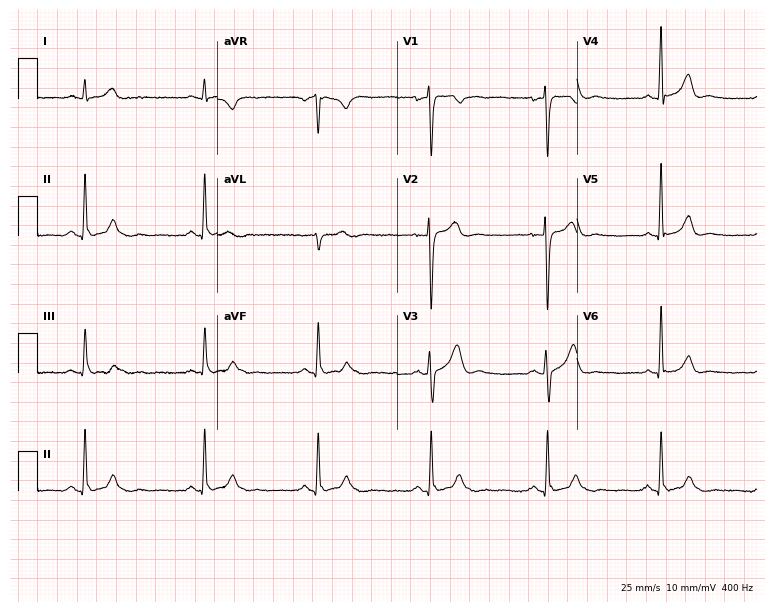
12-lead ECG from a 34-year-old man. Labelled as a normal ECG.